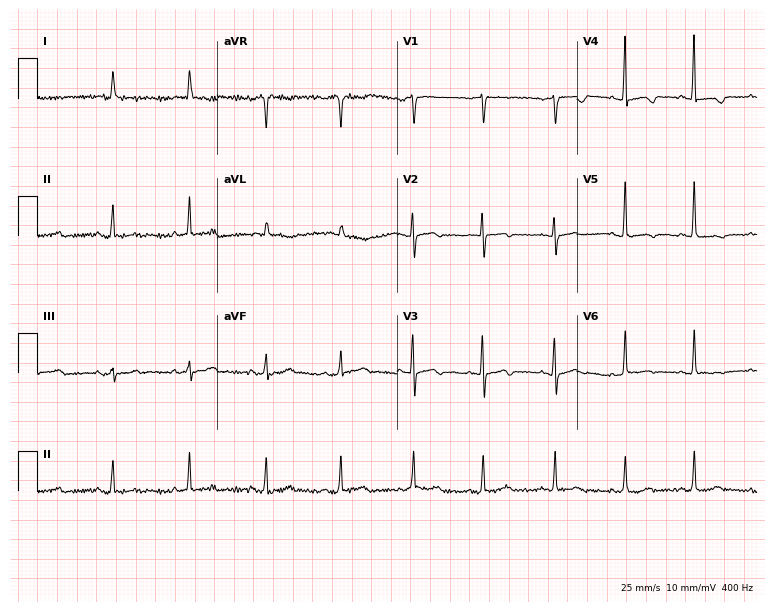
ECG (7.3-second recording at 400 Hz) — a woman, 85 years old. Screened for six findings — first-degree AV block, right bundle branch block (RBBB), left bundle branch block (LBBB), sinus bradycardia, atrial fibrillation (AF), sinus tachycardia — none is recorded.